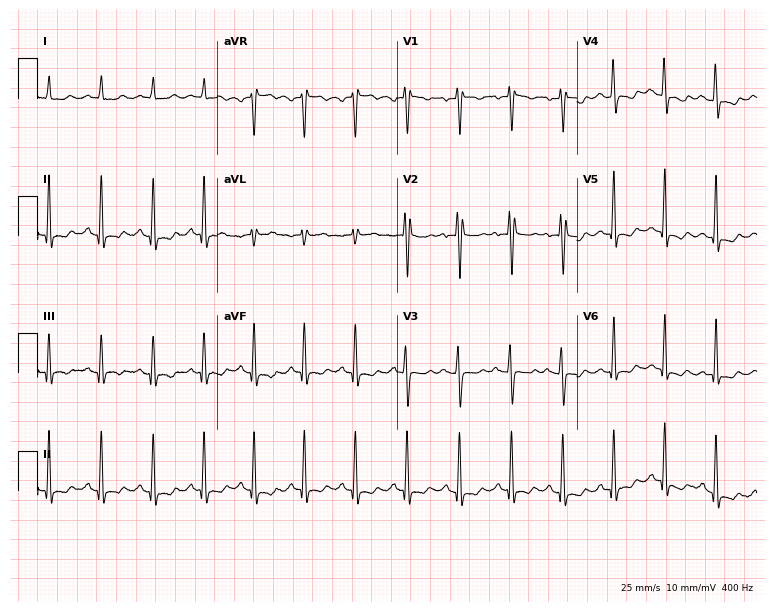
Standard 12-lead ECG recorded from a woman, 34 years old. The tracing shows sinus tachycardia (a sinus rate of 100 beats per minute or more).